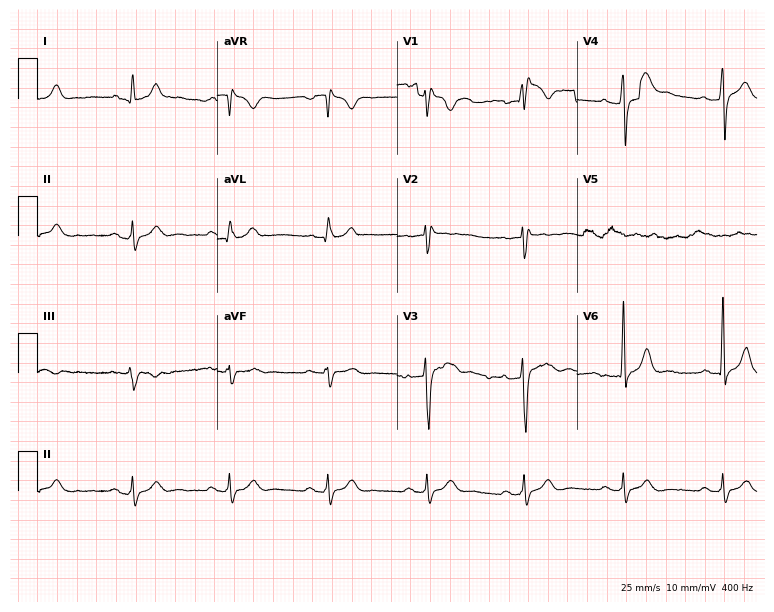
12-lead ECG from a male, 51 years old. No first-degree AV block, right bundle branch block (RBBB), left bundle branch block (LBBB), sinus bradycardia, atrial fibrillation (AF) or sinus tachycardia recorded for this tracing.